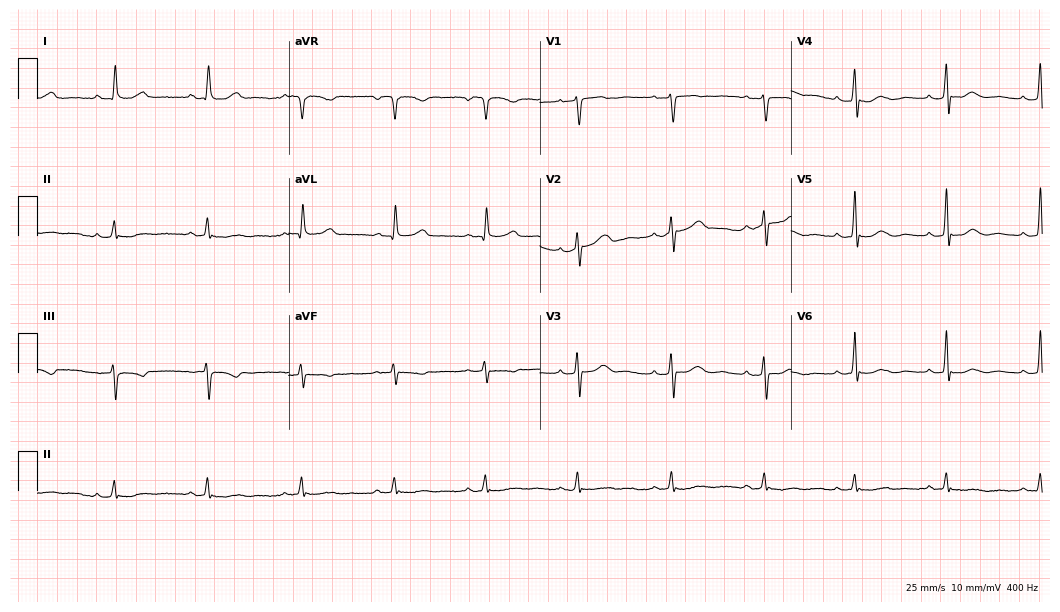
ECG (10.2-second recording at 400 Hz) — a 77-year-old female patient. Screened for six findings — first-degree AV block, right bundle branch block, left bundle branch block, sinus bradycardia, atrial fibrillation, sinus tachycardia — none is recorded.